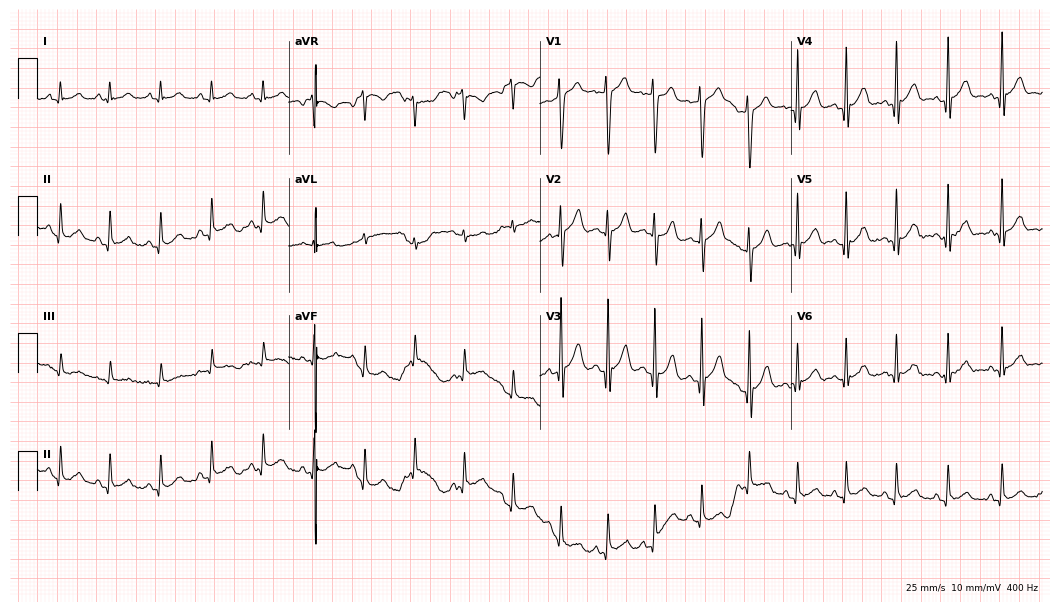
Electrocardiogram (10.2-second recording at 400 Hz), a man, 20 years old. Interpretation includes sinus tachycardia (a sinus rate of 100 beats per minute or more).